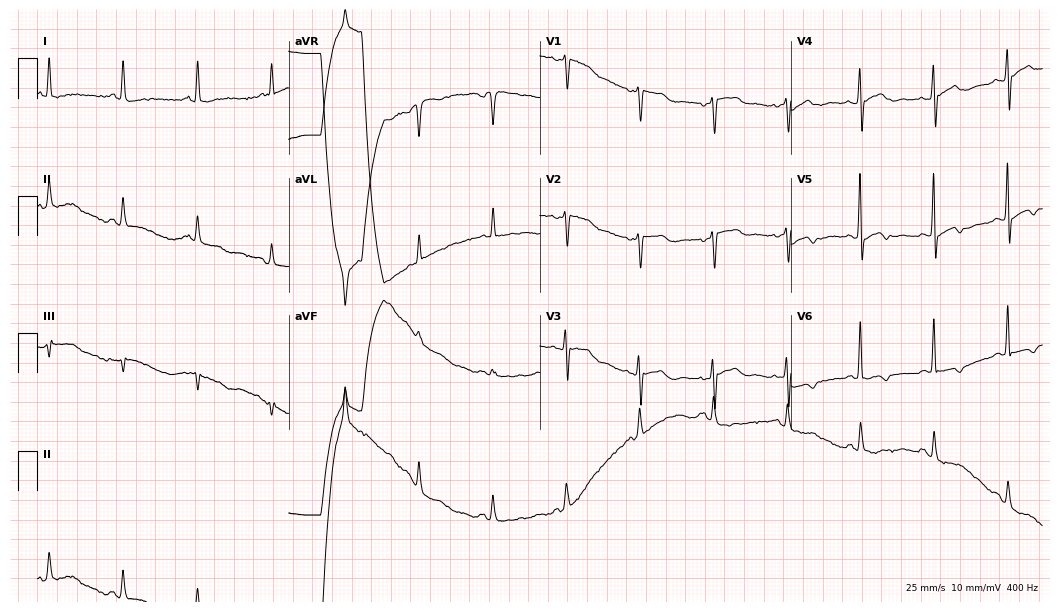
12-lead ECG (10.2-second recording at 400 Hz) from an 80-year-old woman. Screened for six findings — first-degree AV block, right bundle branch block, left bundle branch block, sinus bradycardia, atrial fibrillation, sinus tachycardia — none is recorded.